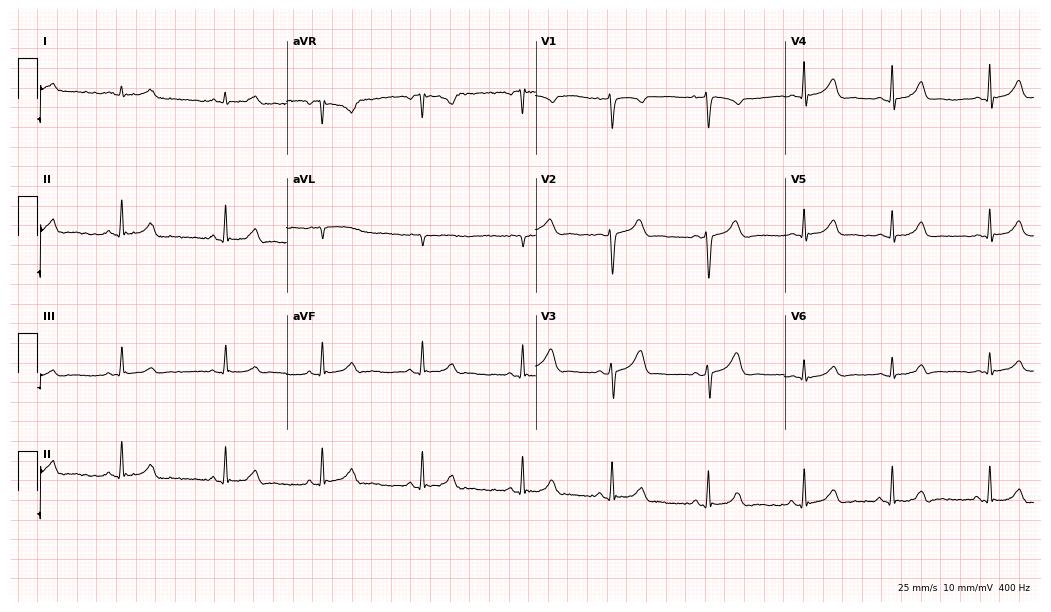
ECG — a female patient, 27 years old. Labelled as a normal ECG.